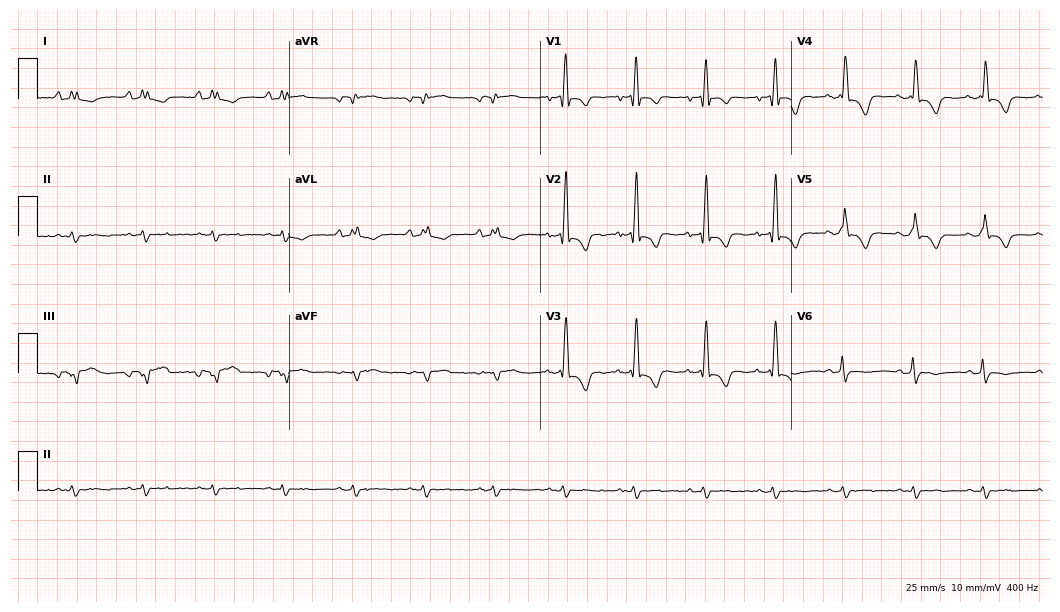
12-lead ECG from a male, 76 years old. Findings include right bundle branch block (RBBB).